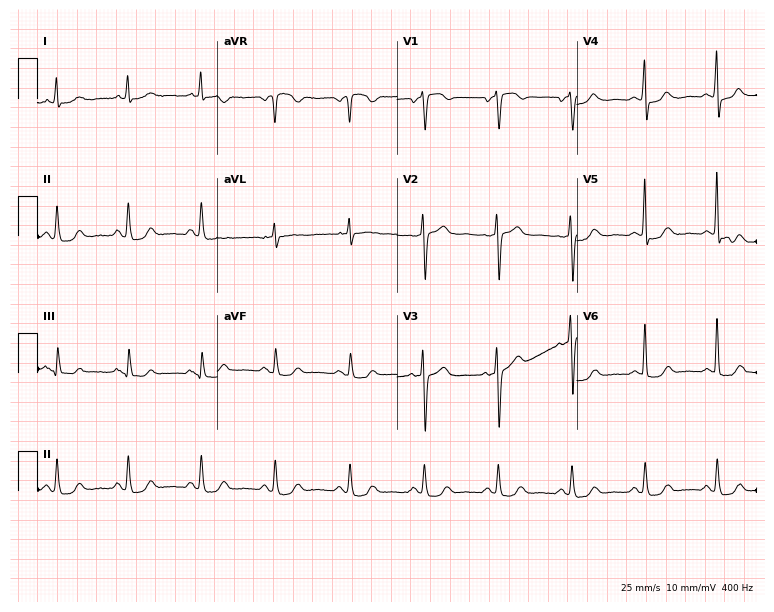
Standard 12-lead ECG recorded from a female patient, 65 years old (7.3-second recording at 400 Hz). None of these six findings is recorded: first-degree AV block, right bundle branch block (RBBB), left bundle branch block (LBBB), sinus bradycardia, atrial fibrillation (AF), sinus tachycardia.